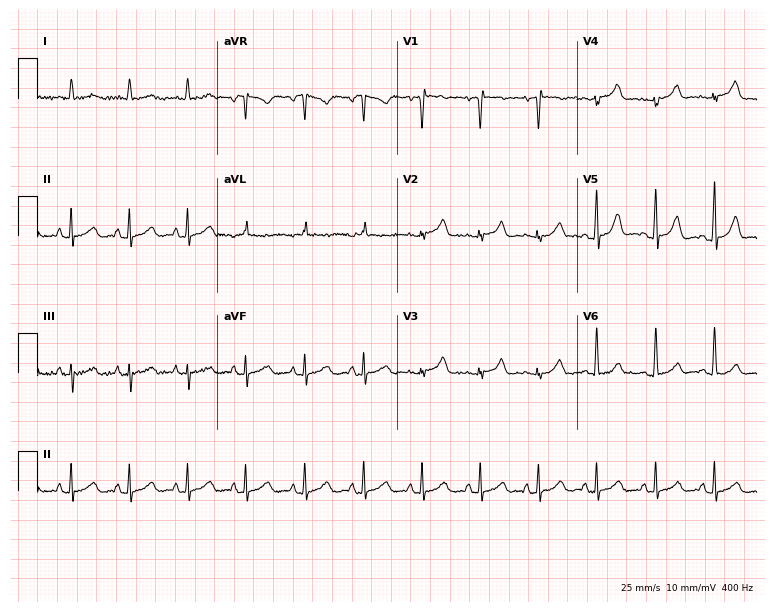
ECG (7.3-second recording at 400 Hz) — a 68-year-old woman. Screened for six findings — first-degree AV block, right bundle branch block, left bundle branch block, sinus bradycardia, atrial fibrillation, sinus tachycardia — none is recorded.